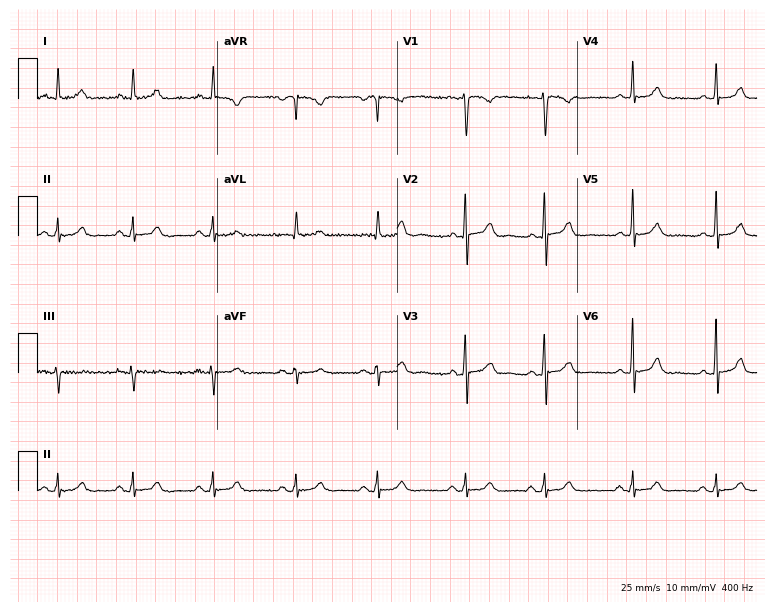
Standard 12-lead ECG recorded from a 33-year-old female patient. Read as a normal ECG.